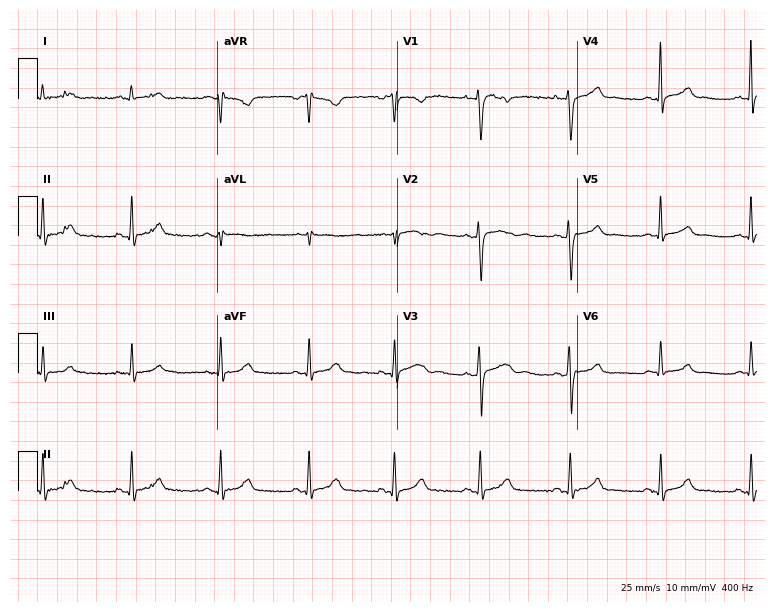
12-lead ECG from a 22-year-old woman (7.3-second recording at 400 Hz). Recorded interpretation: within normal limits.